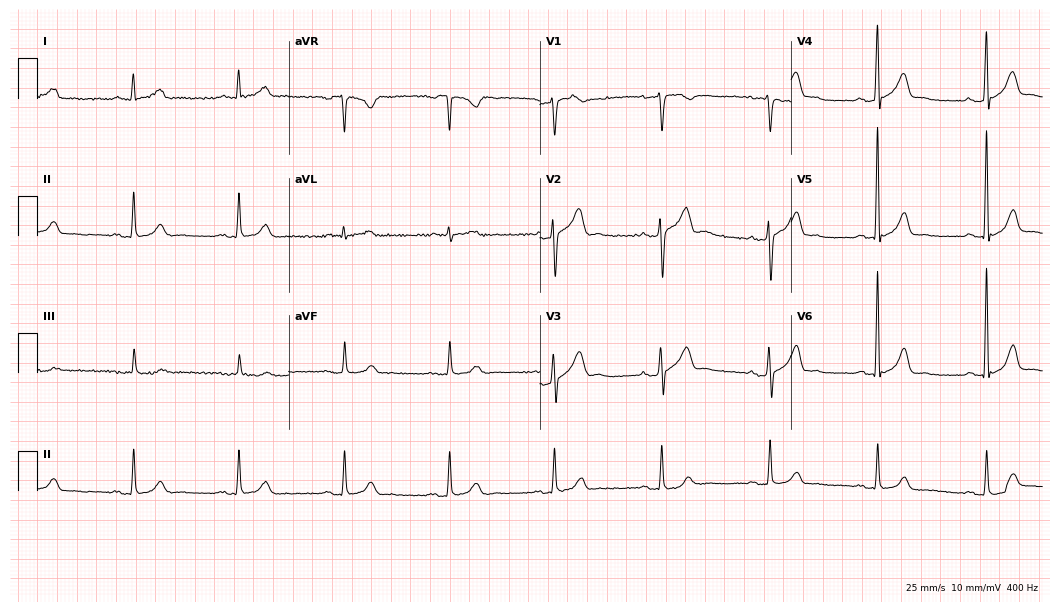
12-lead ECG from a male patient, 52 years old. Labelled as a normal ECG.